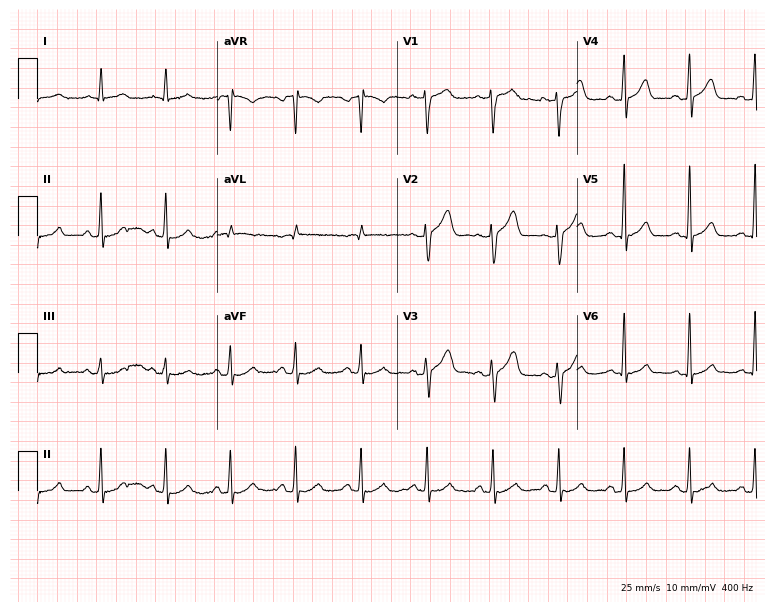
ECG (7.3-second recording at 400 Hz) — a male, 67 years old. Labelled as a normal ECG.